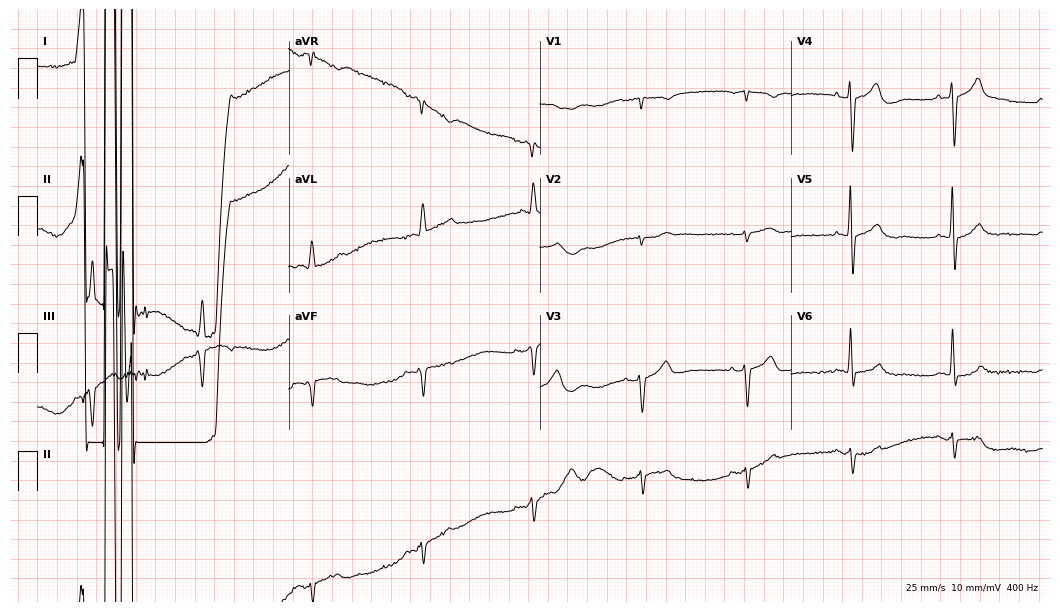
Standard 12-lead ECG recorded from an 84-year-old male patient. None of these six findings is recorded: first-degree AV block, right bundle branch block, left bundle branch block, sinus bradycardia, atrial fibrillation, sinus tachycardia. Only these six findings were labelled.